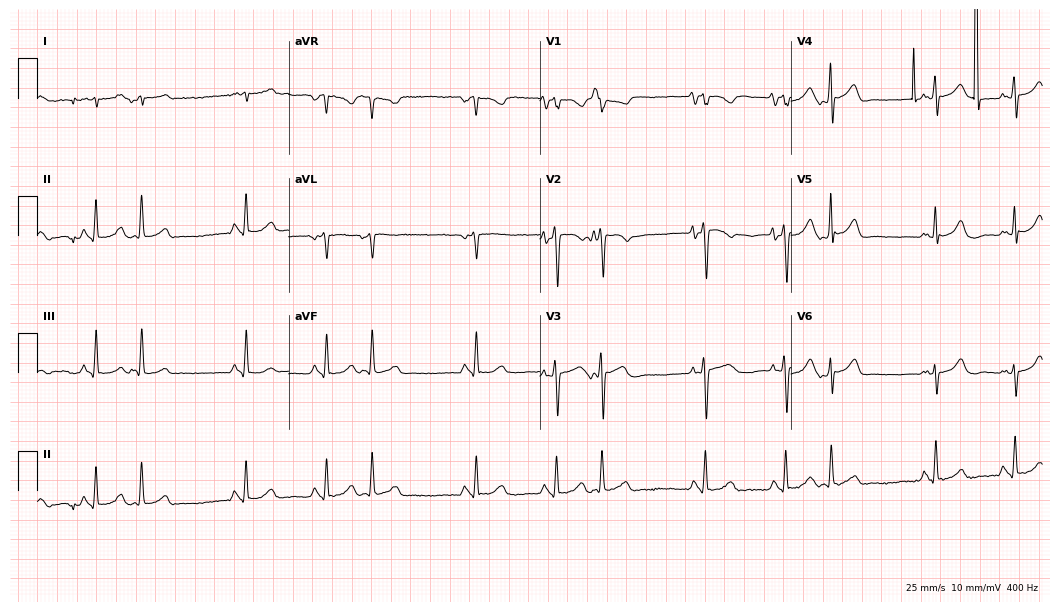
Standard 12-lead ECG recorded from a female patient, 84 years old (10.2-second recording at 400 Hz). None of these six findings is recorded: first-degree AV block, right bundle branch block (RBBB), left bundle branch block (LBBB), sinus bradycardia, atrial fibrillation (AF), sinus tachycardia.